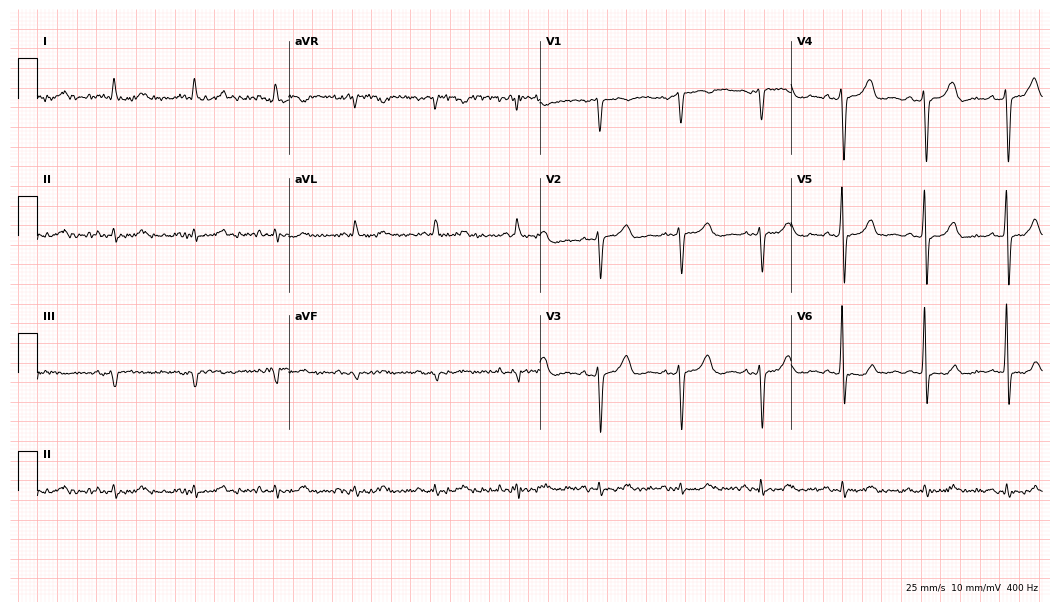
ECG (10.2-second recording at 400 Hz) — a male patient, 85 years old. Labelled as a normal ECG.